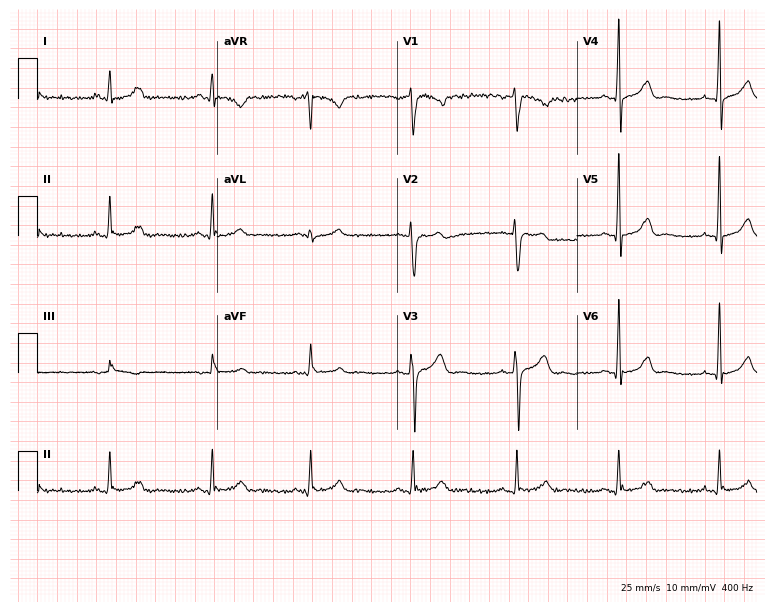
Electrocardiogram (7.3-second recording at 400 Hz), a 42-year-old man. Of the six screened findings (first-degree AV block, right bundle branch block, left bundle branch block, sinus bradycardia, atrial fibrillation, sinus tachycardia), none is recorded.